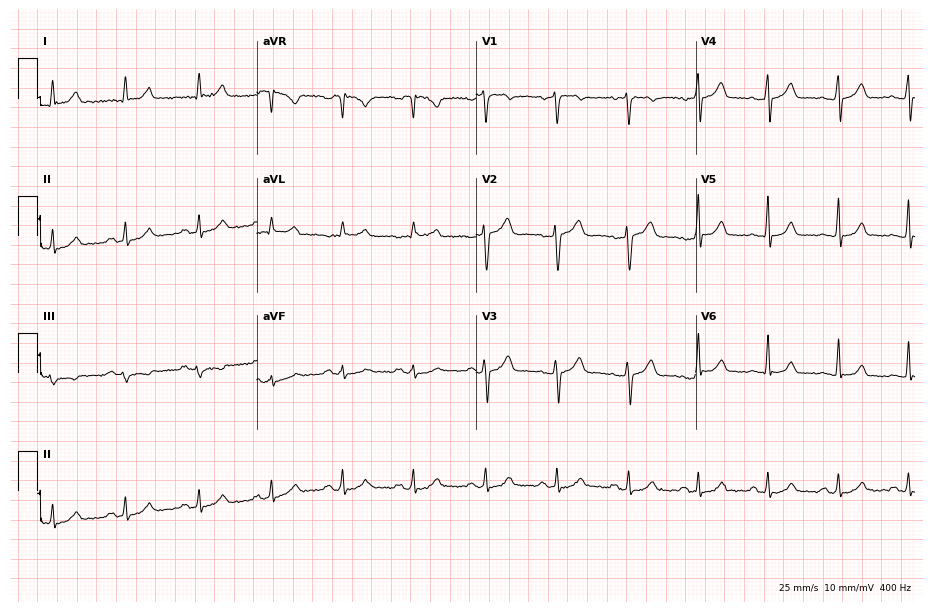
12-lead ECG from a 45-year-old man (8.9-second recording at 400 Hz). No first-degree AV block, right bundle branch block (RBBB), left bundle branch block (LBBB), sinus bradycardia, atrial fibrillation (AF) or sinus tachycardia recorded for this tracing.